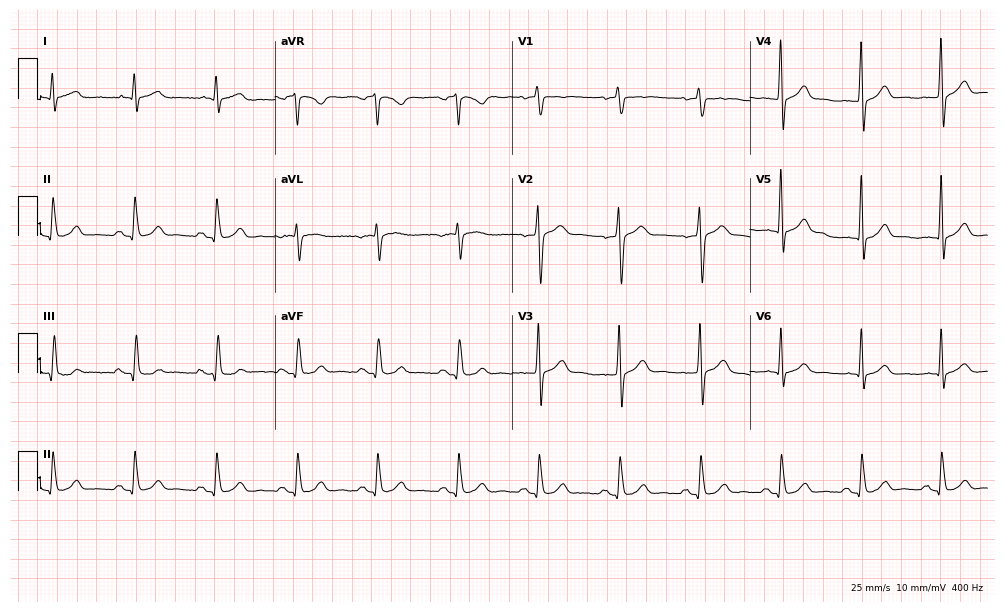
12-lead ECG from a 77-year-old male. Recorded interpretation: within normal limits.